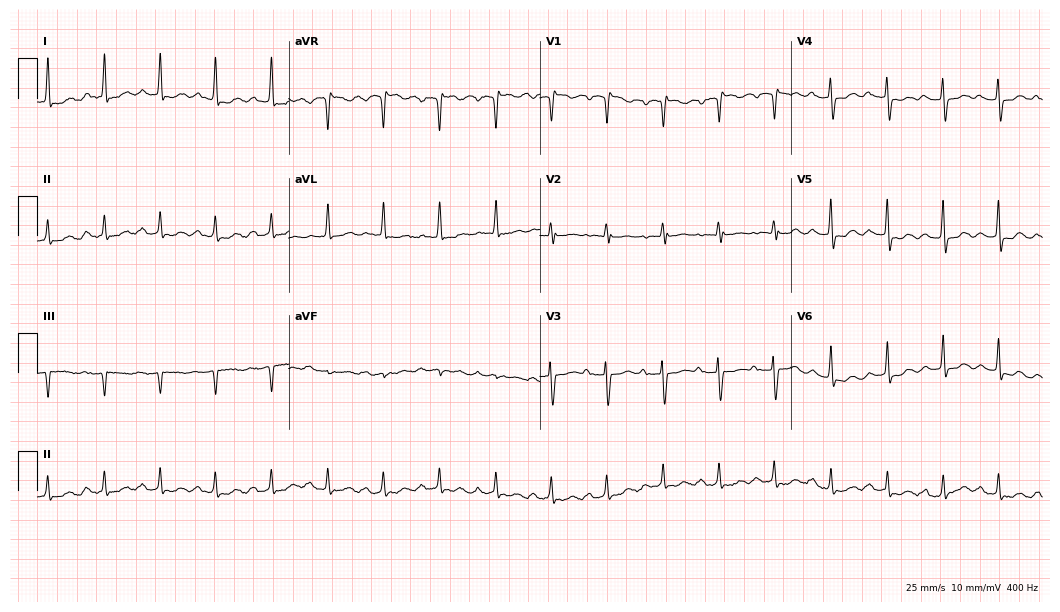
Standard 12-lead ECG recorded from a female, 85 years old (10.2-second recording at 400 Hz). The tracing shows sinus tachycardia (a sinus rate of 100 beats per minute or more).